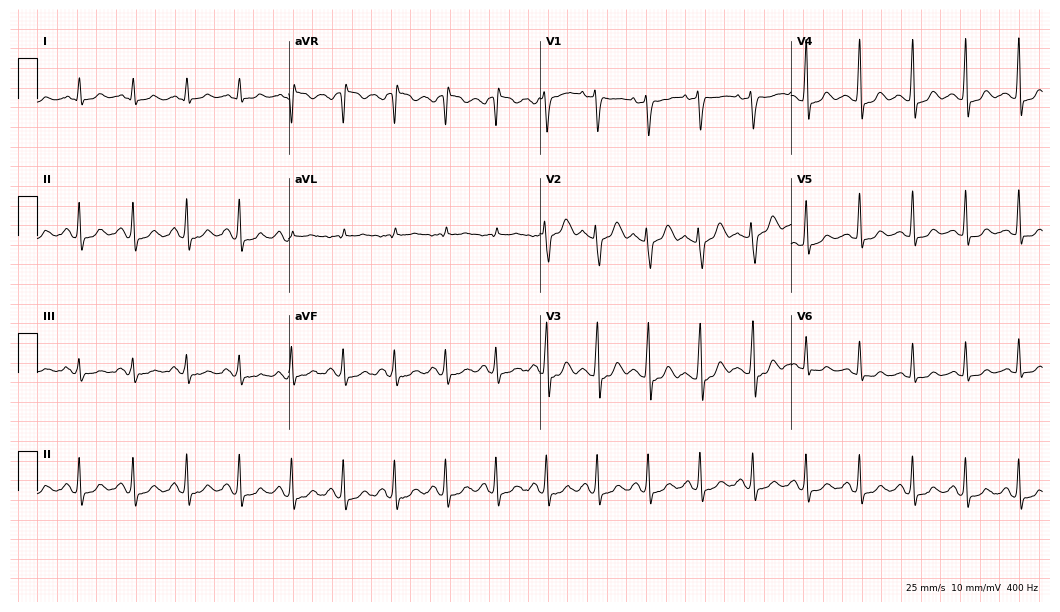
ECG — a woman, 19 years old. Findings include sinus tachycardia (a sinus rate of 100 beats per minute or more).